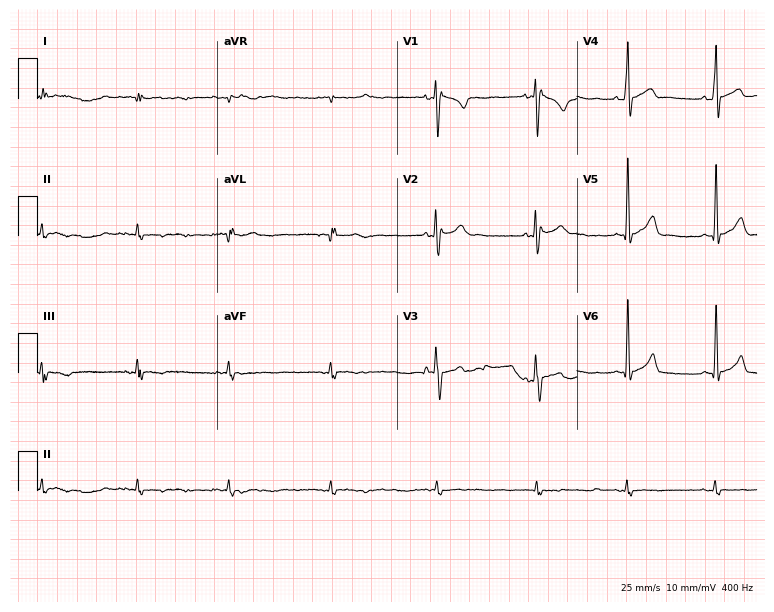
Electrocardiogram (7.3-second recording at 400 Hz), a 19-year-old male patient. Of the six screened findings (first-degree AV block, right bundle branch block, left bundle branch block, sinus bradycardia, atrial fibrillation, sinus tachycardia), none is recorded. Findings outside these six are not listed.